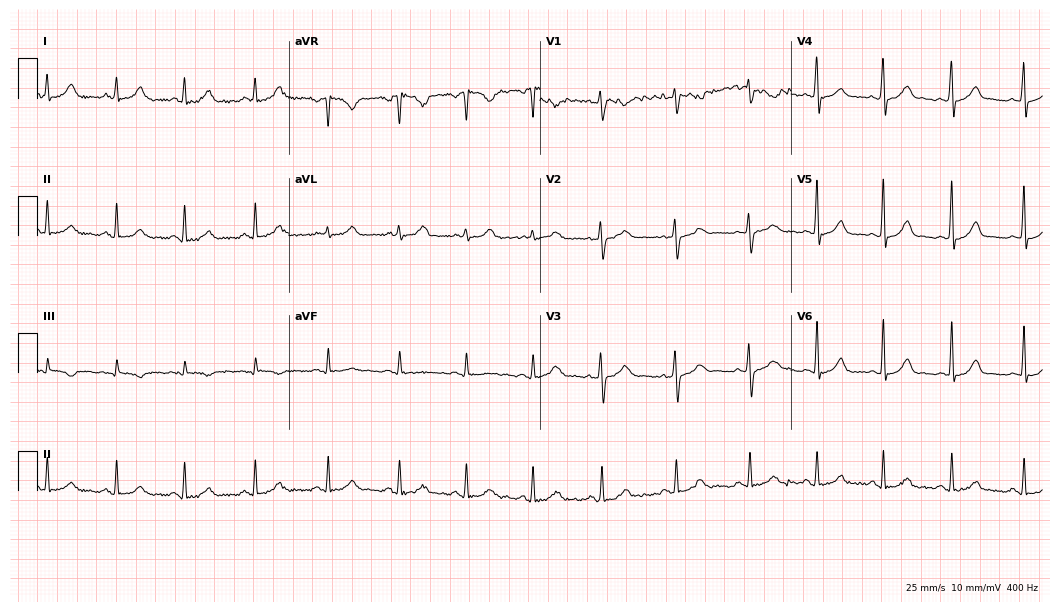
ECG — a female, 30 years old. Labelled as a normal ECG.